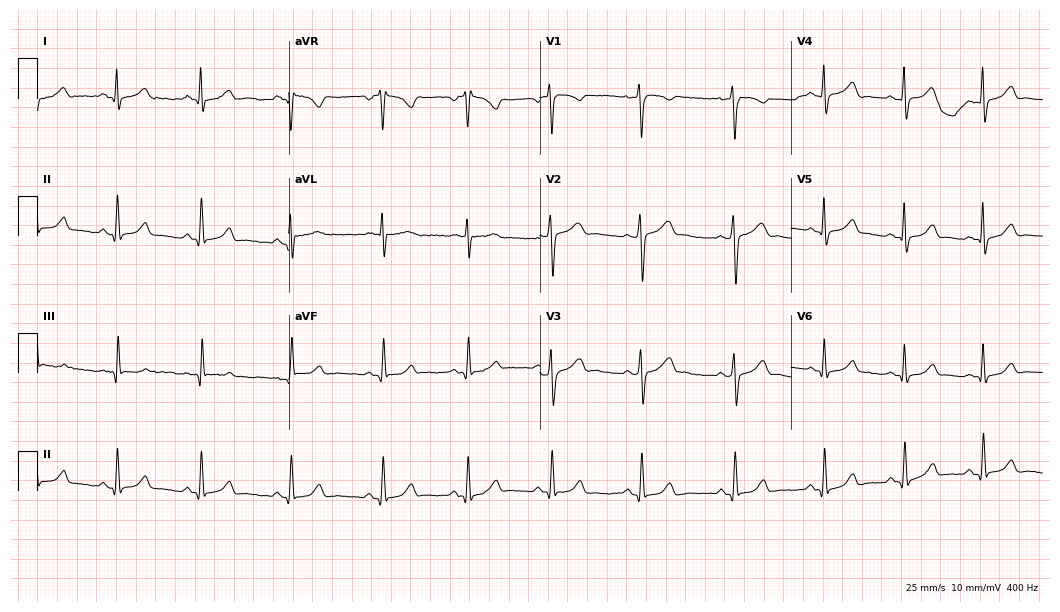
12-lead ECG (10.2-second recording at 400 Hz) from a woman, 17 years old. Labelled as a normal ECG.